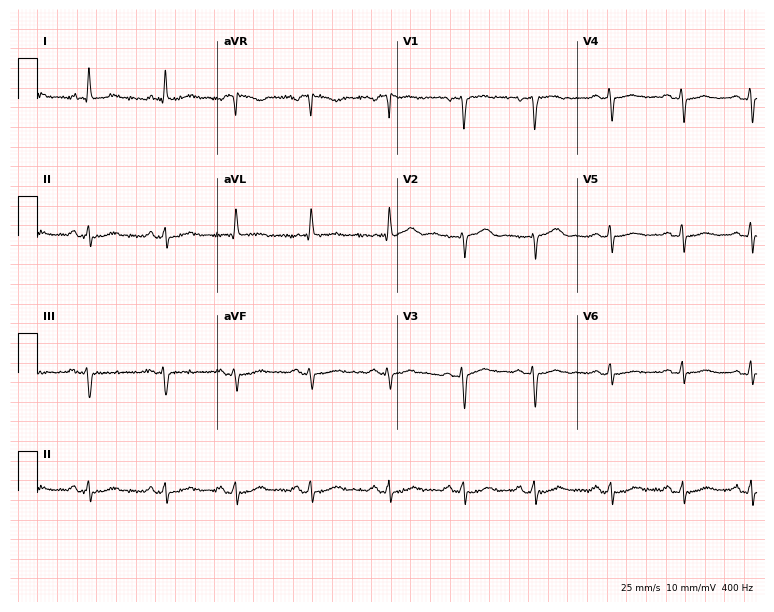
Standard 12-lead ECG recorded from a female patient, 71 years old (7.3-second recording at 400 Hz). None of these six findings is recorded: first-degree AV block, right bundle branch block (RBBB), left bundle branch block (LBBB), sinus bradycardia, atrial fibrillation (AF), sinus tachycardia.